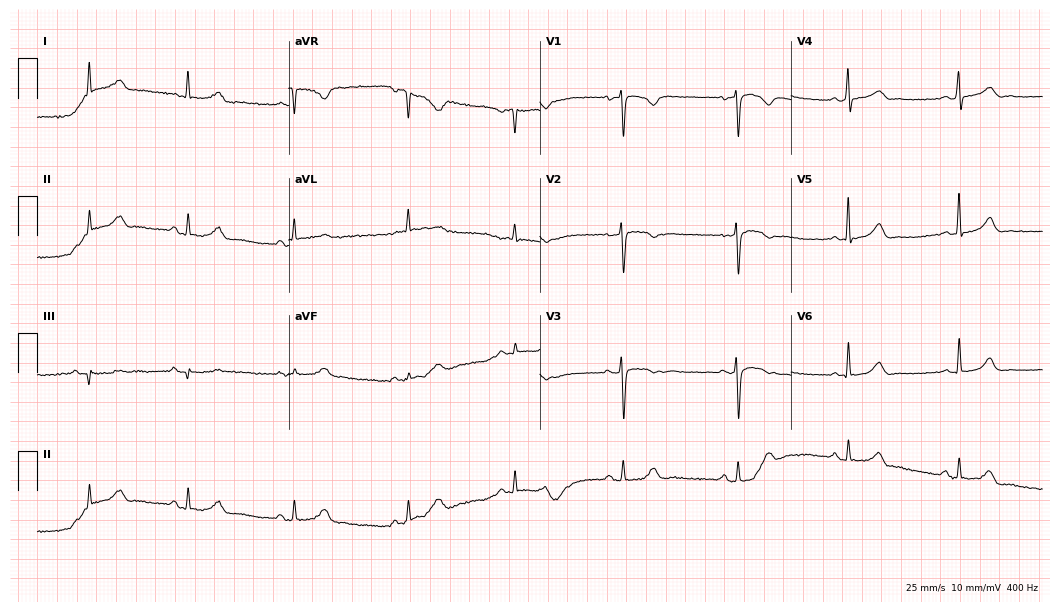
Standard 12-lead ECG recorded from a 23-year-old woman (10.2-second recording at 400 Hz). Read as a normal ECG.